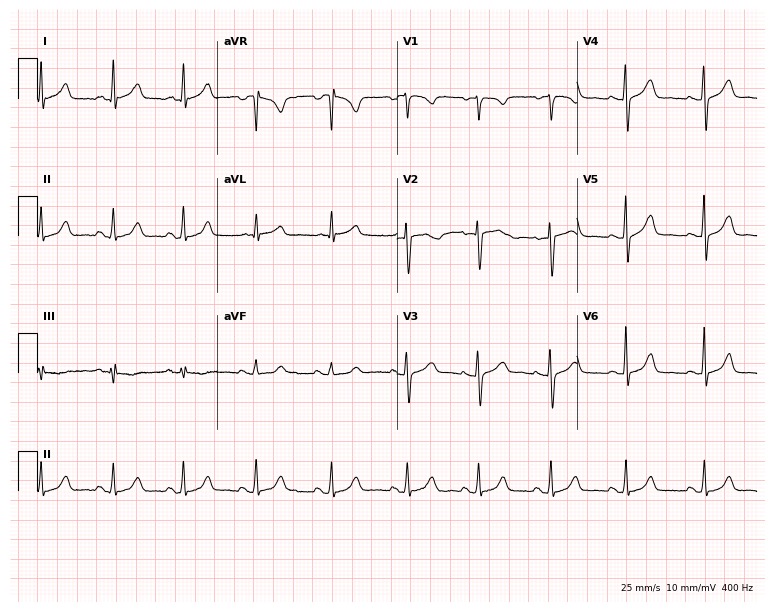
12-lead ECG from a female, 41 years old. Labelled as a normal ECG.